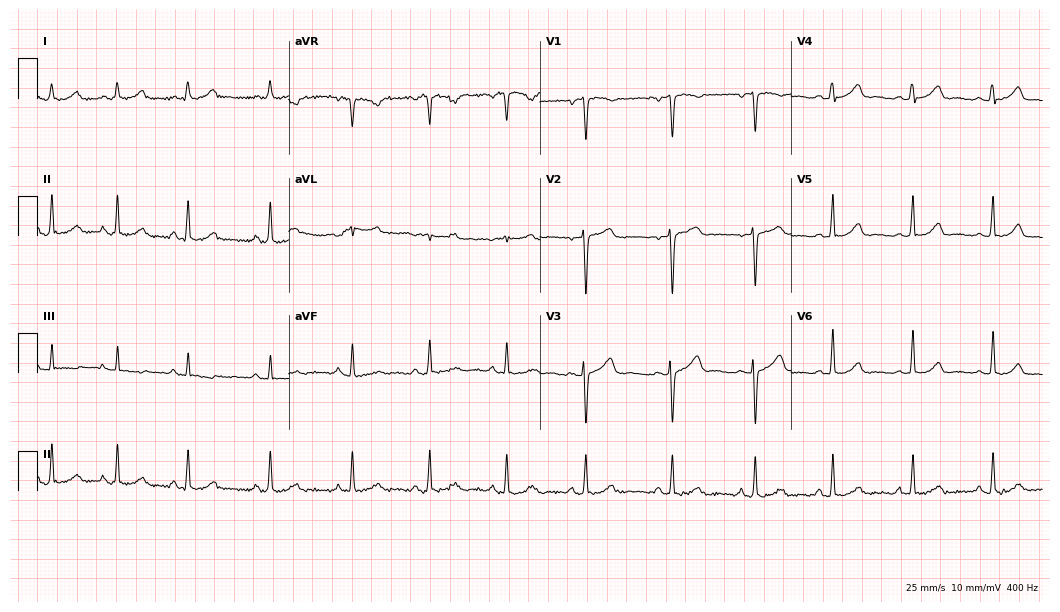
Electrocardiogram (10.2-second recording at 400 Hz), a 22-year-old female patient. Of the six screened findings (first-degree AV block, right bundle branch block, left bundle branch block, sinus bradycardia, atrial fibrillation, sinus tachycardia), none is recorded. Only these six findings were labelled.